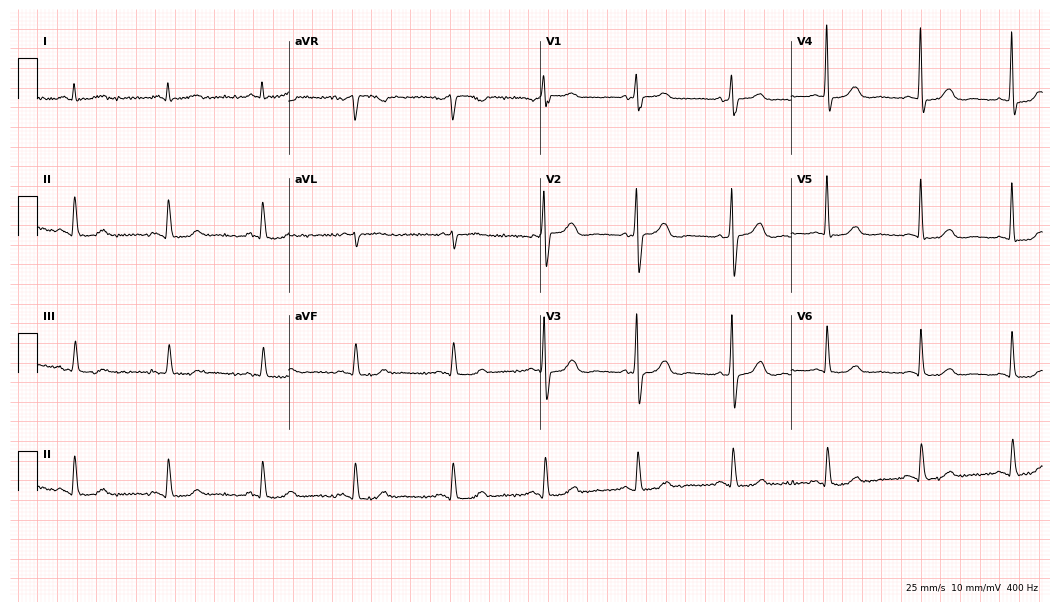
12-lead ECG from an 85-year-old woman (10.2-second recording at 400 Hz). Recorded interpretation: within normal limits.